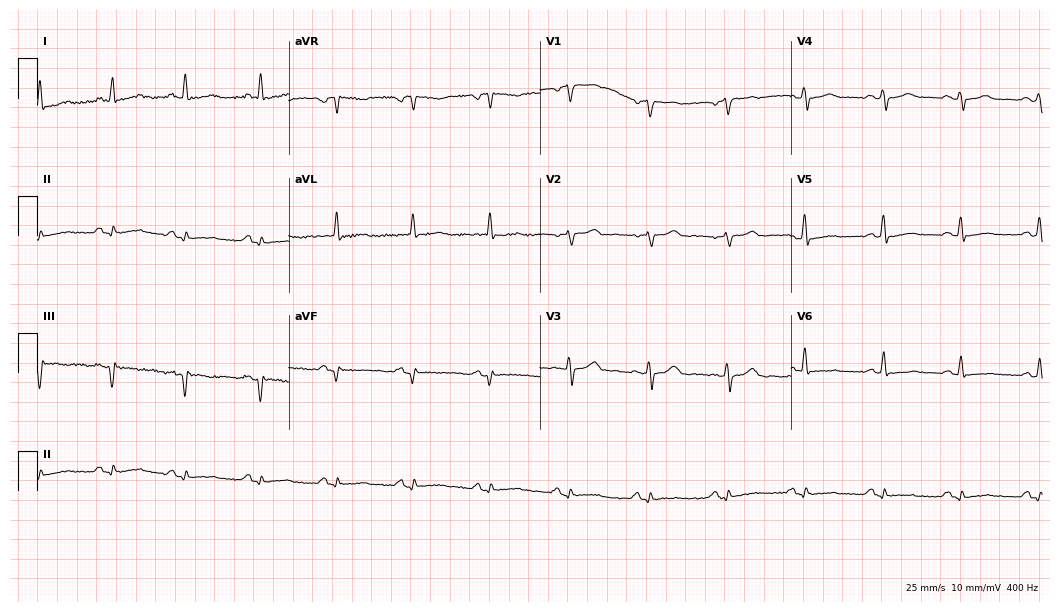
Electrocardiogram, a female patient, 56 years old. Of the six screened findings (first-degree AV block, right bundle branch block (RBBB), left bundle branch block (LBBB), sinus bradycardia, atrial fibrillation (AF), sinus tachycardia), none is recorded.